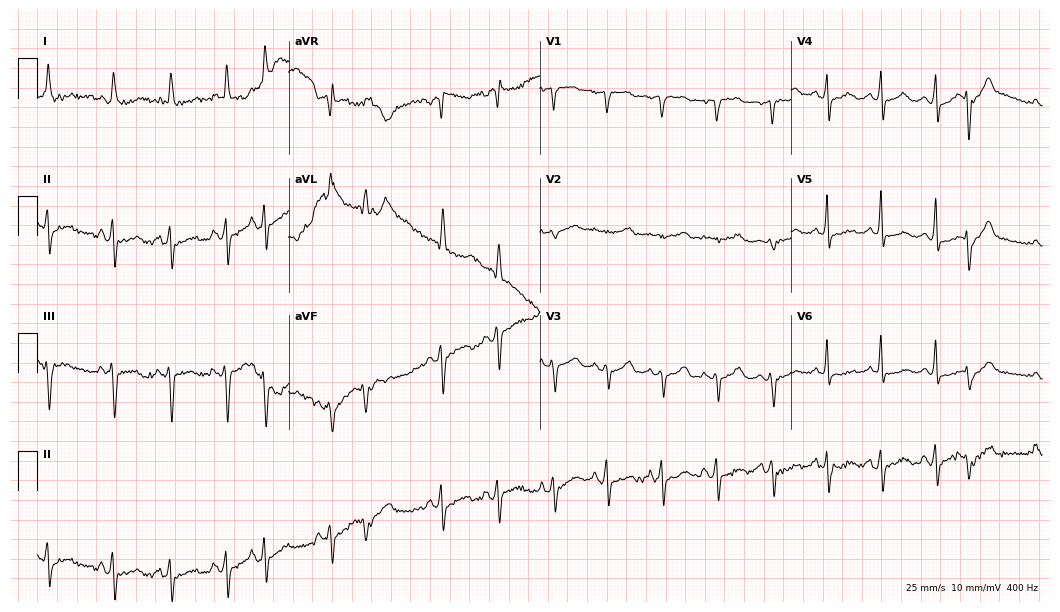
12-lead ECG (10.2-second recording at 400 Hz) from a female, 77 years old. Screened for six findings — first-degree AV block, right bundle branch block, left bundle branch block, sinus bradycardia, atrial fibrillation, sinus tachycardia — none is recorded. Findings outside these six are not listed.